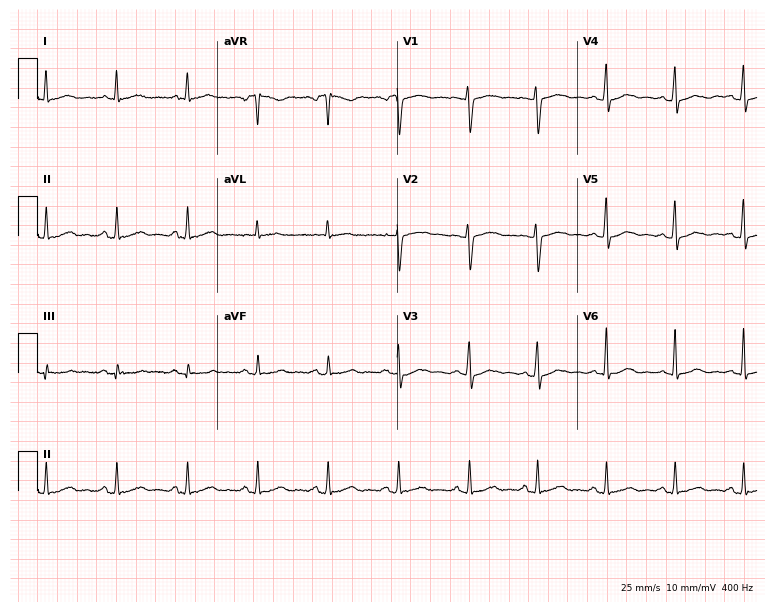
Electrocardiogram (7.3-second recording at 400 Hz), a 40-year-old woman. Overall reading on record: normal ECG.